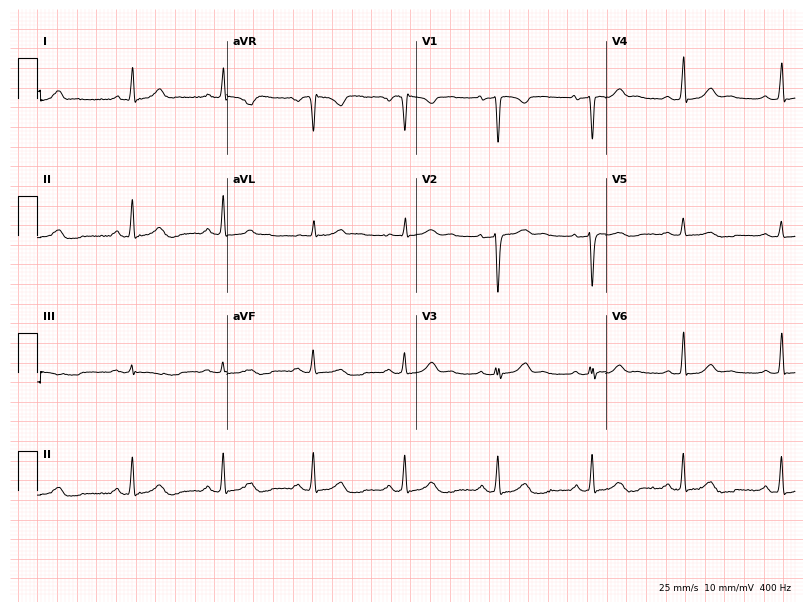
Resting 12-lead electrocardiogram. Patient: a 39-year-old female. None of these six findings is recorded: first-degree AV block, right bundle branch block, left bundle branch block, sinus bradycardia, atrial fibrillation, sinus tachycardia. Findings outside these six are not listed.